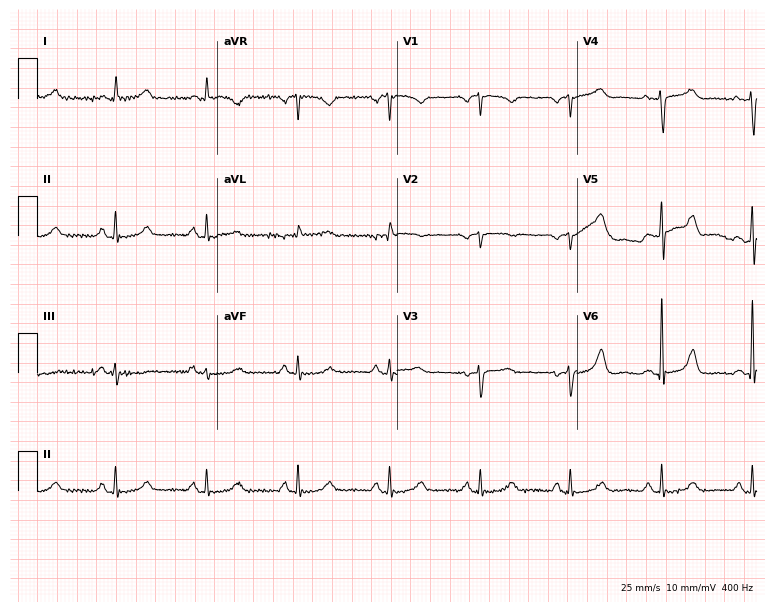
Resting 12-lead electrocardiogram (7.3-second recording at 400 Hz). Patient: a 76-year-old female. Read as a normal ECG.